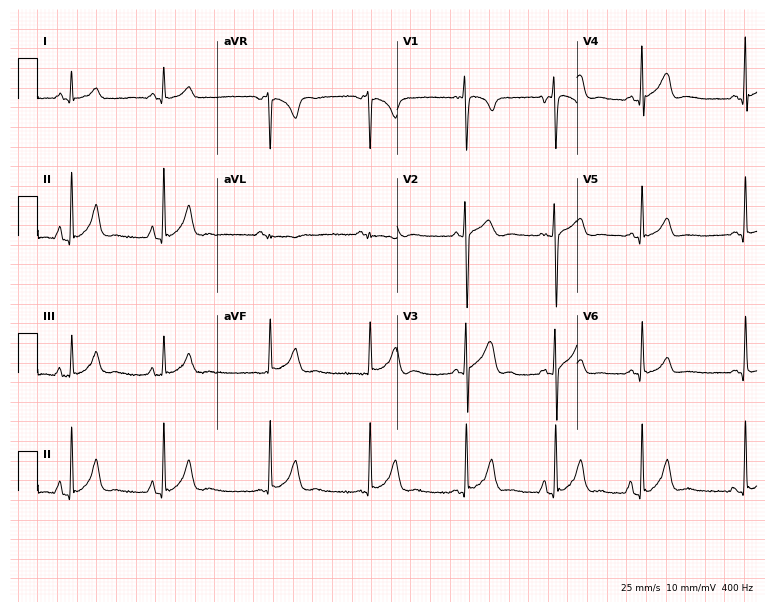
12-lead ECG from a 21-year-old man (7.3-second recording at 400 Hz). Recorded interpretation: within normal limits.